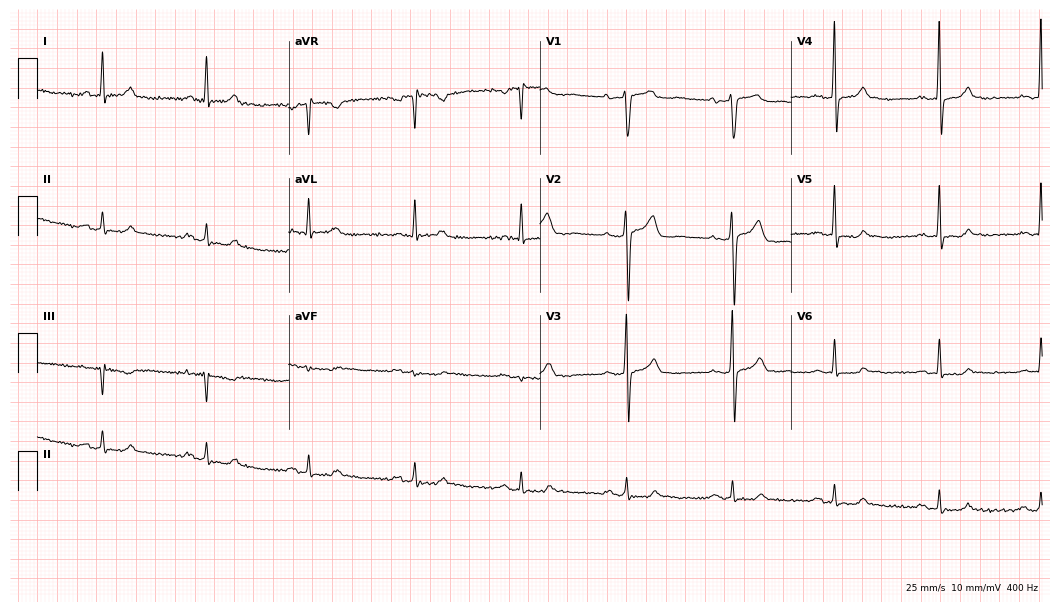
12-lead ECG from a woman, 41 years old. Findings include first-degree AV block.